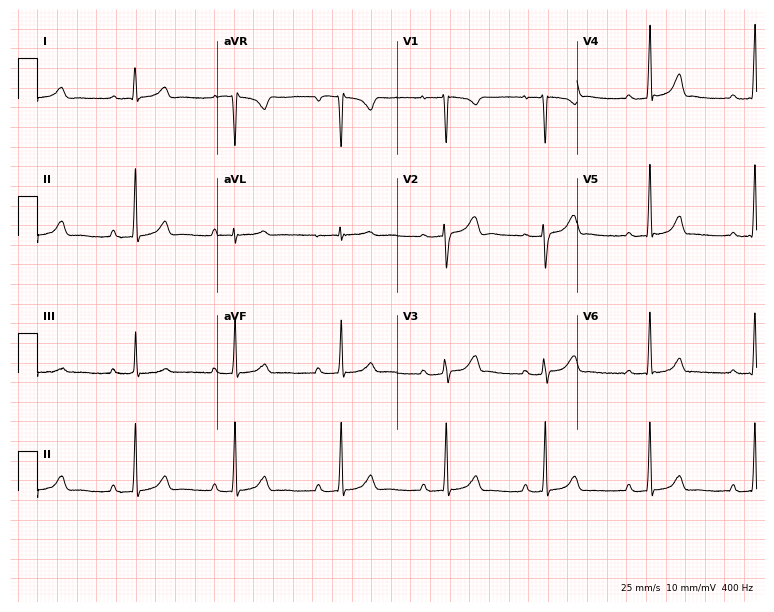
Standard 12-lead ECG recorded from a woman, 21 years old. The tracing shows first-degree AV block.